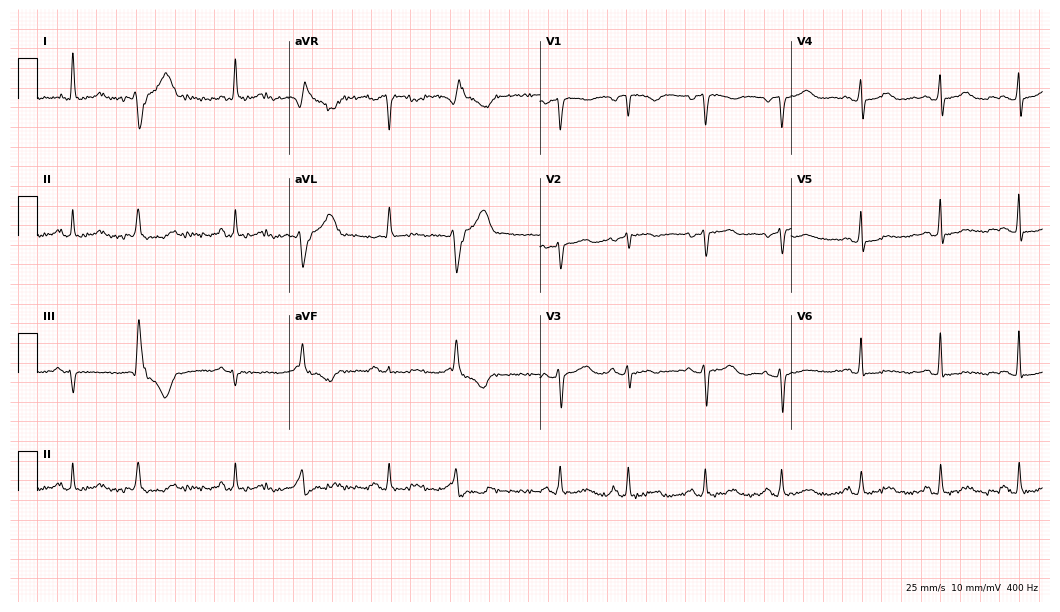
12-lead ECG (10.2-second recording at 400 Hz) from a female patient, 62 years old. Screened for six findings — first-degree AV block, right bundle branch block, left bundle branch block, sinus bradycardia, atrial fibrillation, sinus tachycardia — none is recorded. Findings outside these six are not listed.